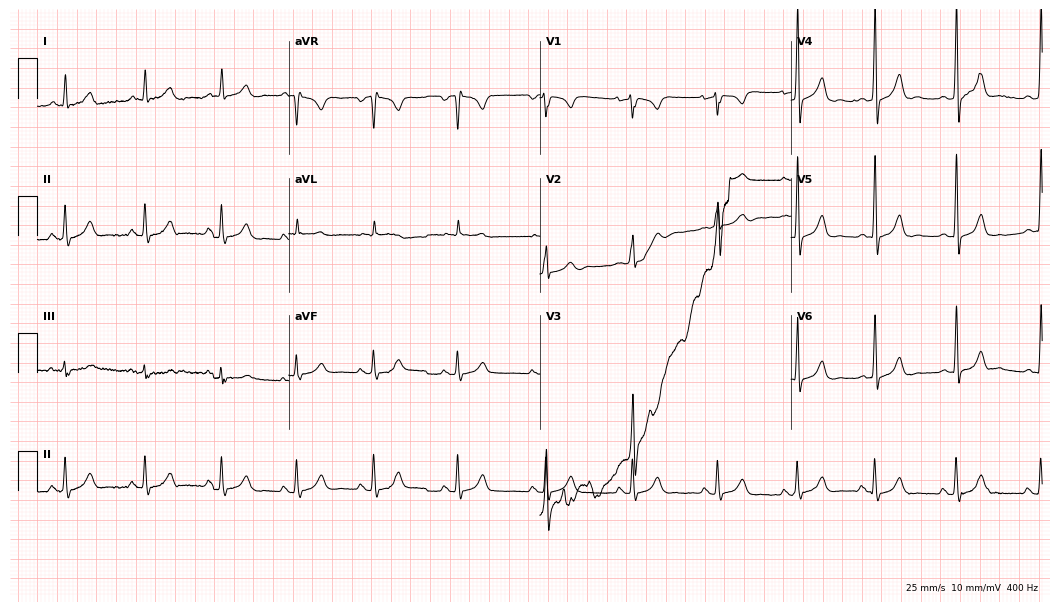
Resting 12-lead electrocardiogram. Patient: a male, 34 years old. Read as a normal ECG.